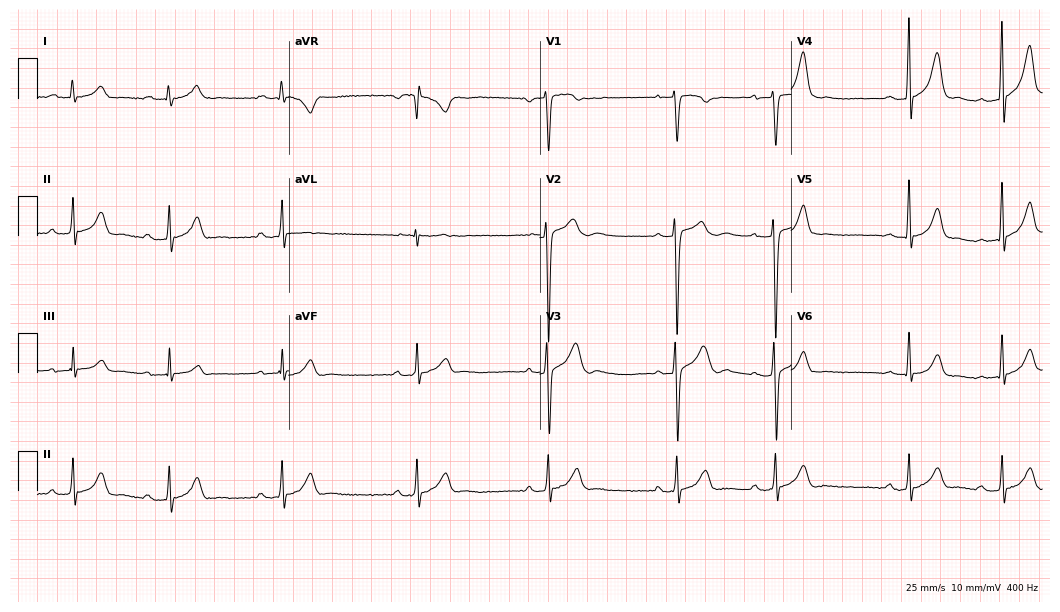
12-lead ECG from a 25-year-old man. Labelled as a normal ECG.